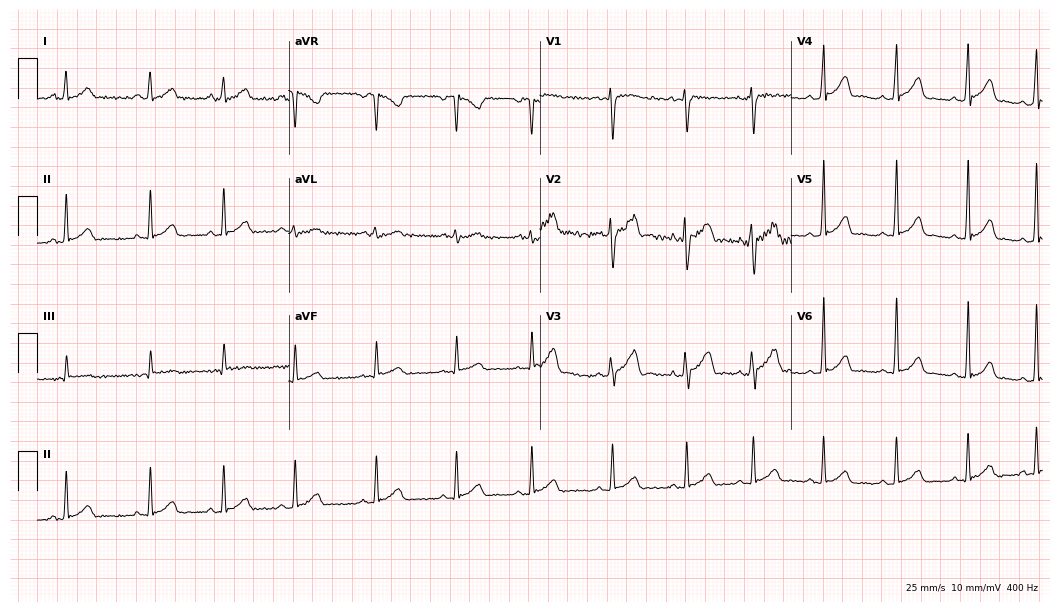
ECG (10.2-second recording at 400 Hz) — a 17-year-old male patient. Screened for six findings — first-degree AV block, right bundle branch block, left bundle branch block, sinus bradycardia, atrial fibrillation, sinus tachycardia — none is recorded. Other findings, if any, are not listed.